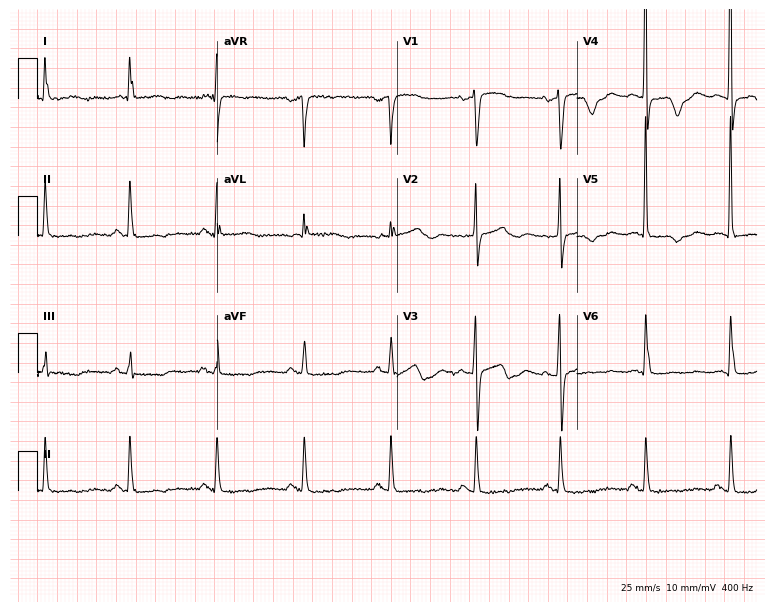
Electrocardiogram (7.3-second recording at 400 Hz), a female, 83 years old. Of the six screened findings (first-degree AV block, right bundle branch block, left bundle branch block, sinus bradycardia, atrial fibrillation, sinus tachycardia), none is recorded.